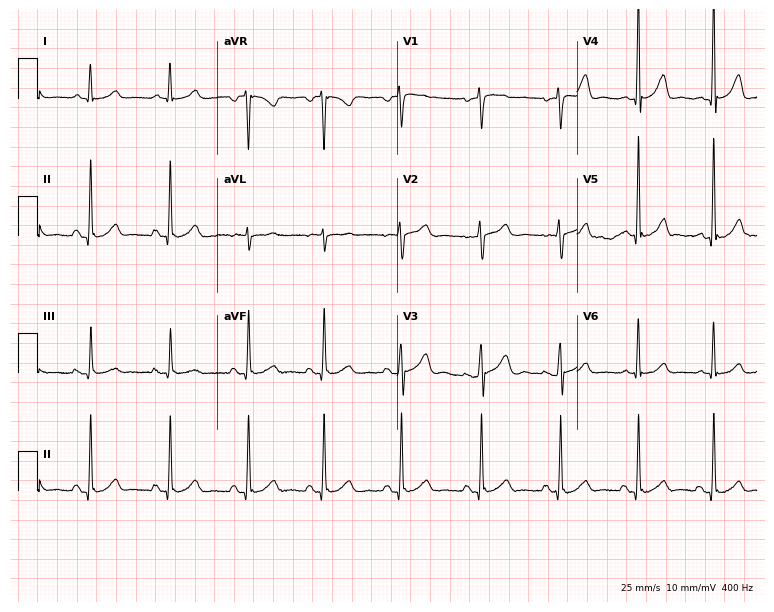
Resting 12-lead electrocardiogram (7.3-second recording at 400 Hz). Patient: a female, 58 years old. Read as a normal ECG.